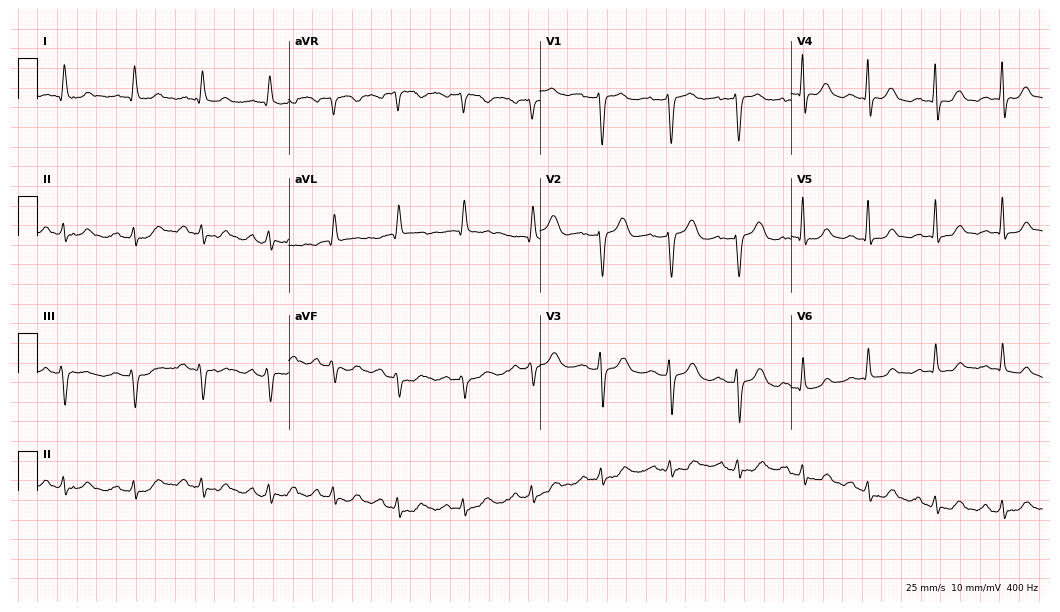
Resting 12-lead electrocardiogram (10.2-second recording at 400 Hz). Patient: a female, 48 years old. Read as a normal ECG.